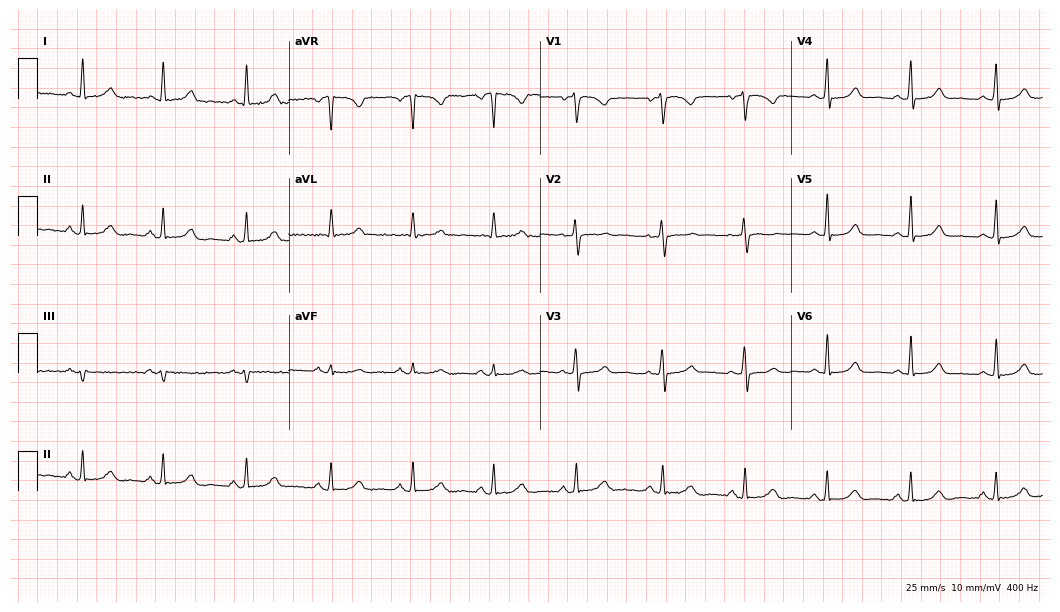
Standard 12-lead ECG recorded from a female patient, 59 years old (10.2-second recording at 400 Hz). Read as a normal ECG.